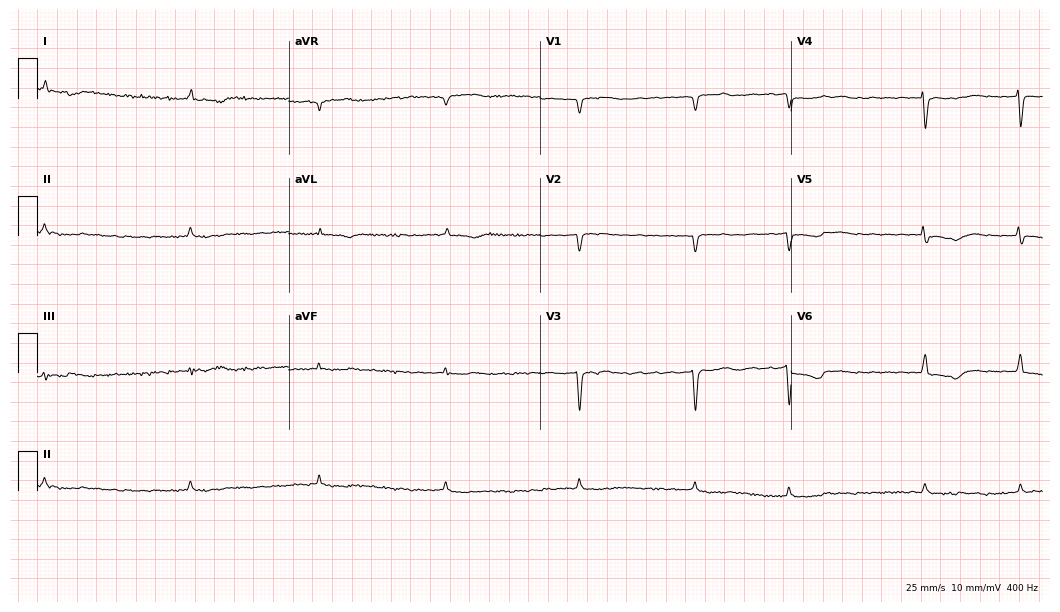
ECG (10.2-second recording at 400 Hz) — a woman, 73 years old. Findings include atrial fibrillation (AF).